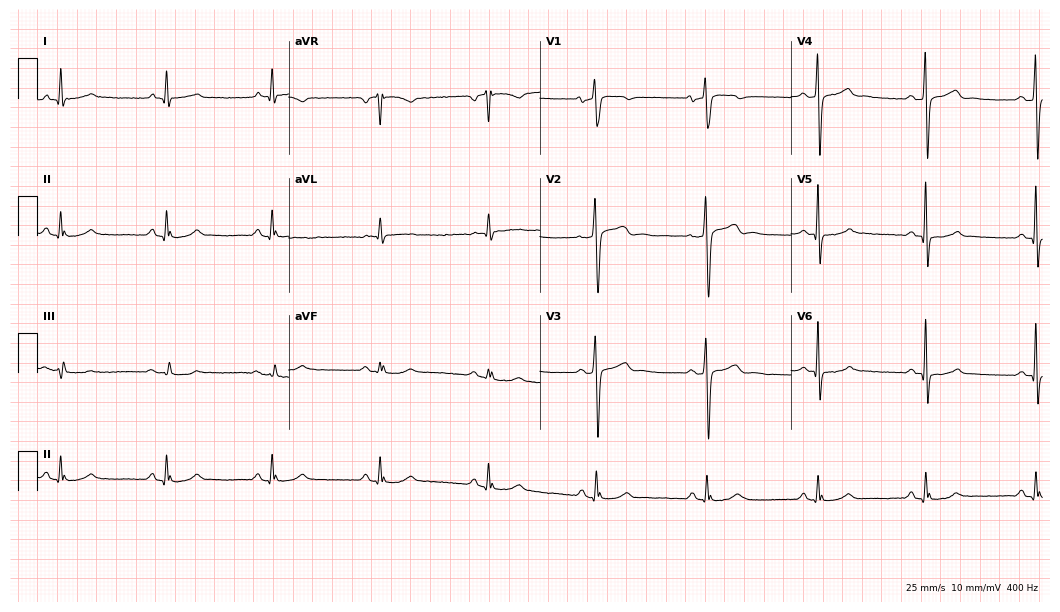
12-lead ECG from a 66-year-old male patient. No first-degree AV block, right bundle branch block, left bundle branch block, sinus bradycardia, atrial fibrillation or sinus tachycardia recorded for this tracing.